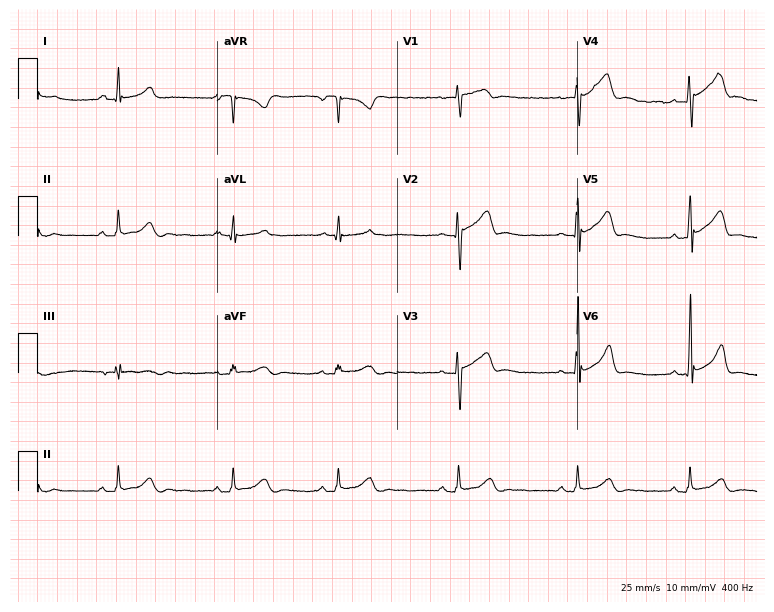
Resting 12-lead electrocardiogram. Patient: a 29-year-old female. Read as a normal ECG.